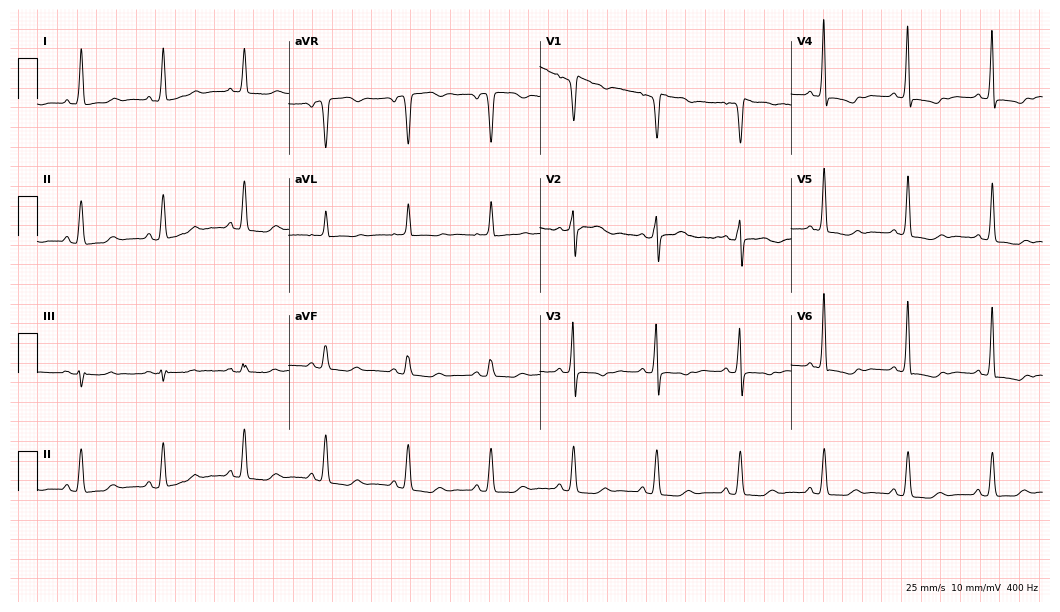
Resting 12-lead electrocardiogram. Patient: an 82-year-old female. None of these six findings is recorded: first-degree AV block, right bundle branch block (RBBB), left bundle branch block (LBBB), sinus bradycardia, atrial fibrillation (AF), sinus tachycardia.